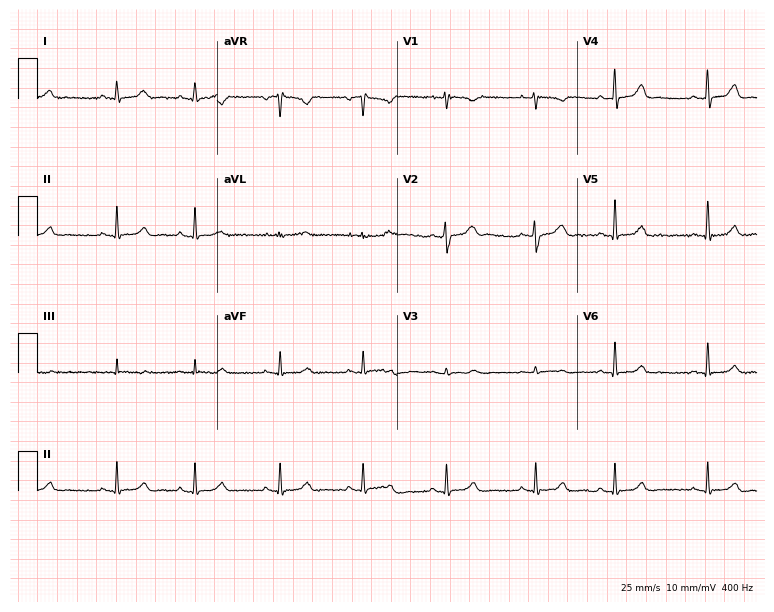
12-lead ECG (7.3-second recording at 400 Hz) from a 45-year-old female. Labelled as a normal ECG.